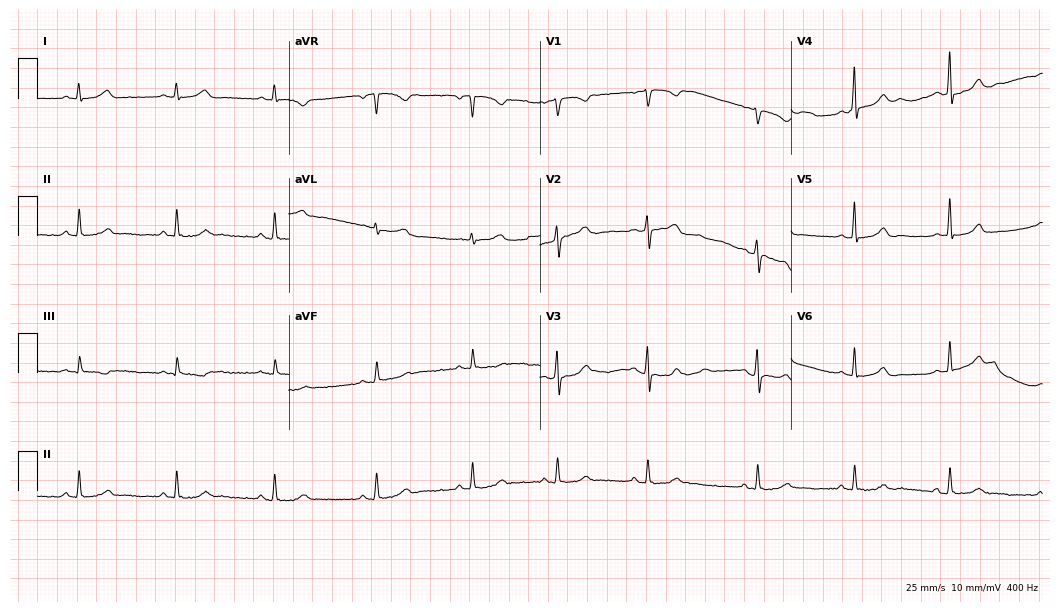
12-lead ECG from a woman, 34 years old. Labelled as a normal ECG.